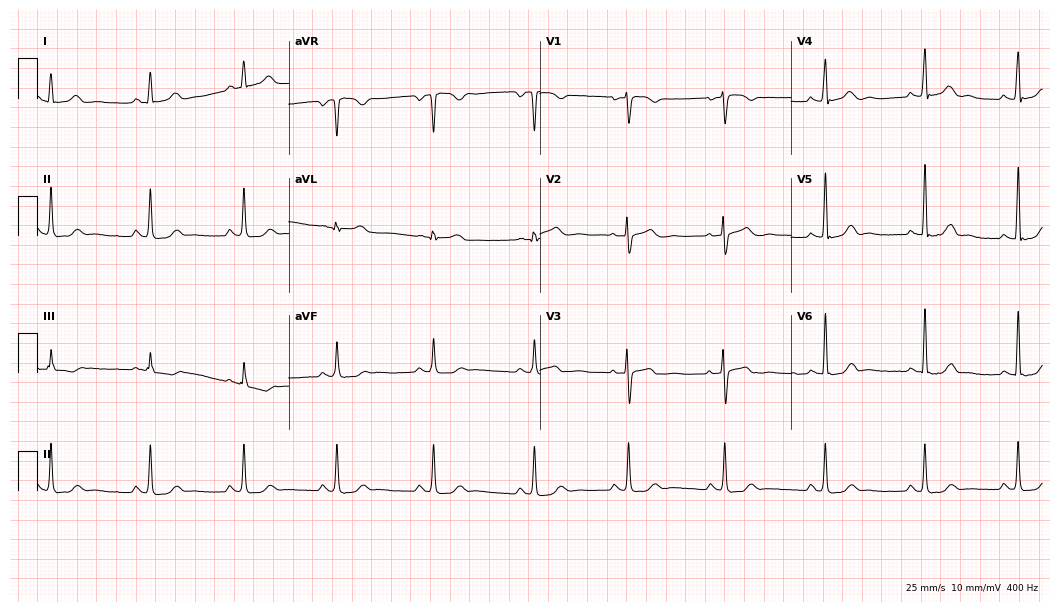
ECG (10.2-second recording at 400 Hz) — a female patient, 36 years old. Labelled as a normal ECG.